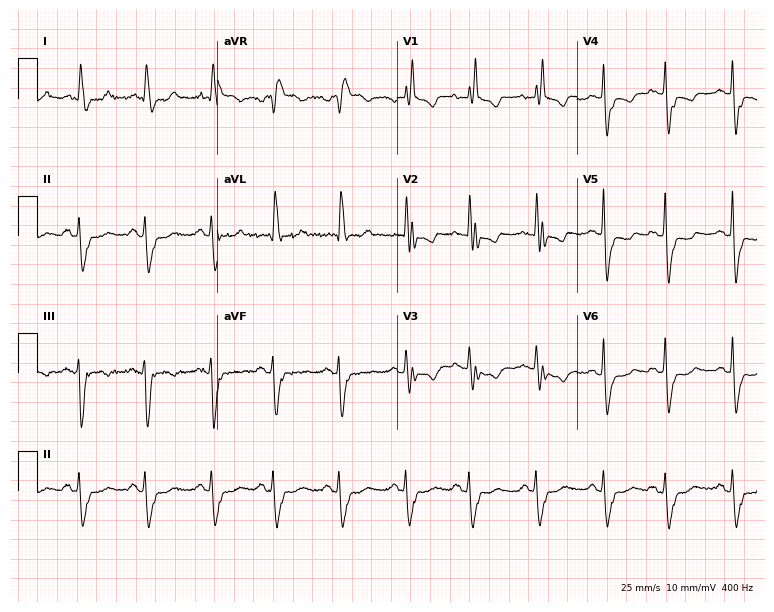
Electrocardiogram, a female, 75 years old. Interpretation includes right bundle branch block.